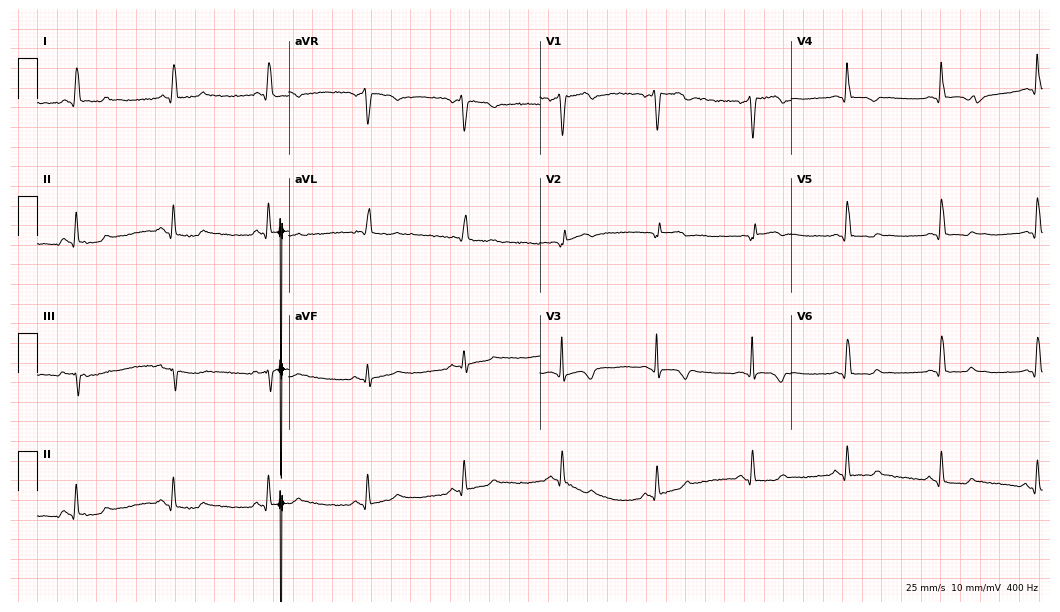
12-lead ECG from a male, 55 years old. No first-degree AV block, right bundle branch block (RBBB), left bundle branch block (LBBB), sinus bradycardia, atrial fibrillation (AF) or sinus tachycardia recorded for this tracing. Only these six findings were labelled.